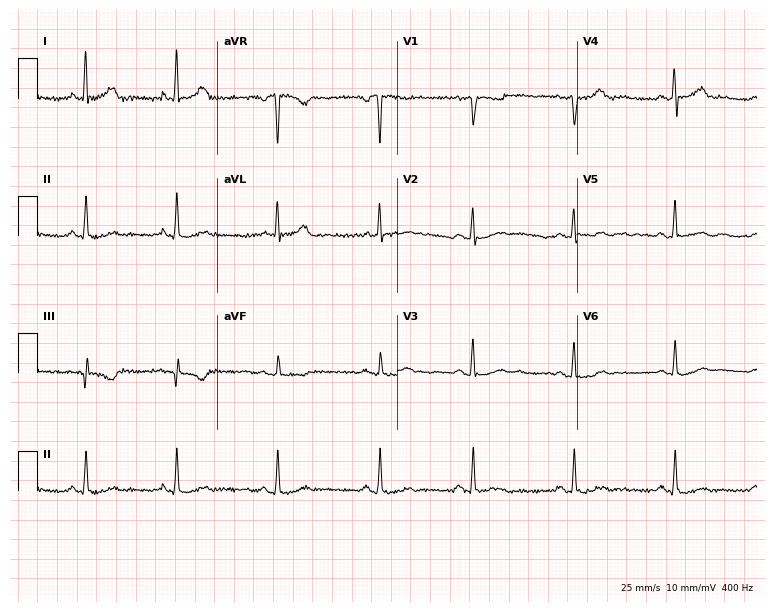
Resting 12-lead electrocardiogram. Patient: a woman, 42 years old. None of these six findings is recorded: first-degree AV block, right bundle branch block (RBBB), left bundle branch block (LBBB), sinus bradycardia, atrial fibrillation (AF), sinus tachycardia.